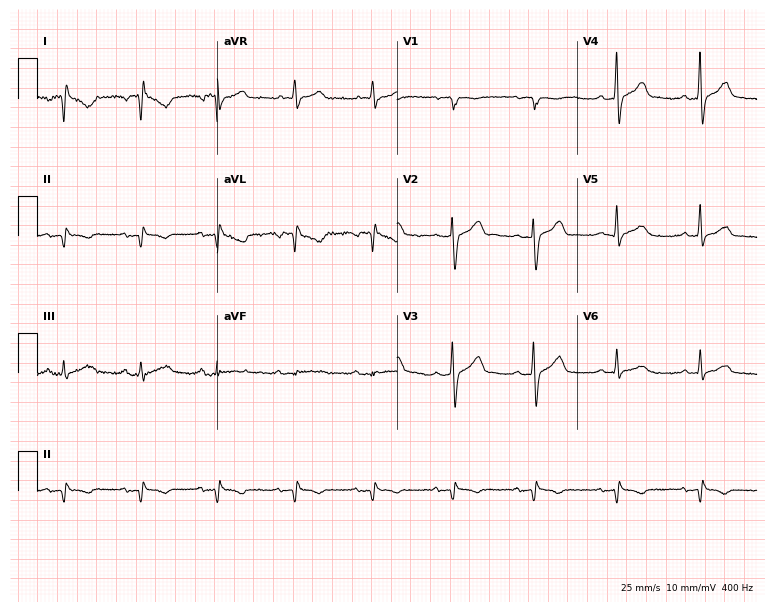
Resting 12-lead electrocardiogram. Patient: a 65-year-old man. Read as a normal ECG.